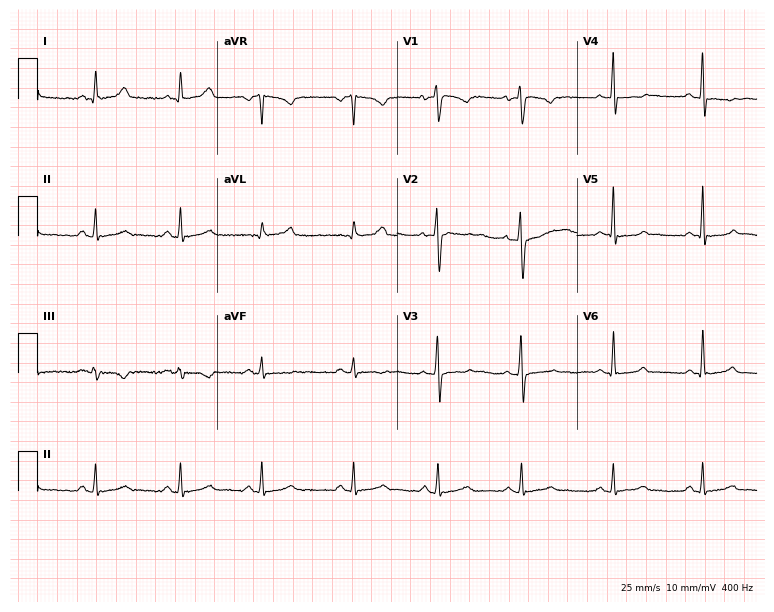
Standard 12-lead ECG recorded from a 25-year-old female patient. Read as a normal ECG.